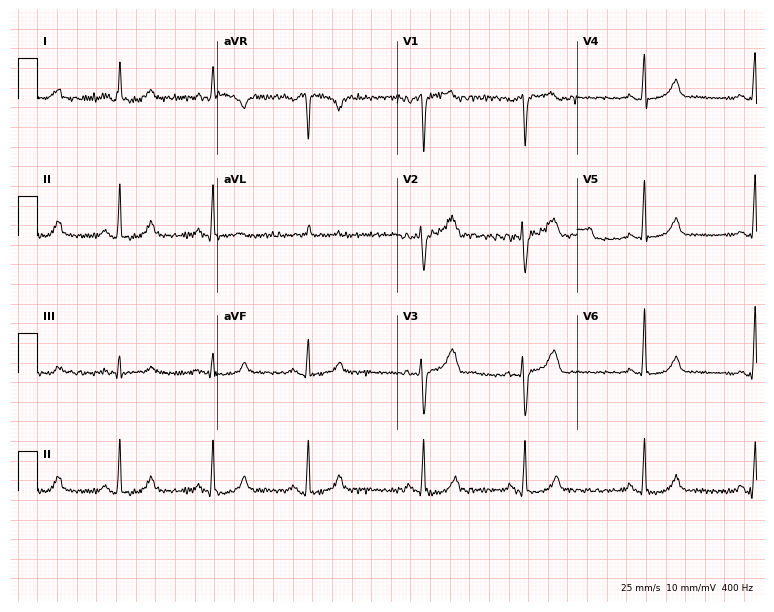
Resting 12-lead electrocardiogram (7.3-second recording at 400 Hz). Patient: a 53-year-old woman. Read as a normal ECG.